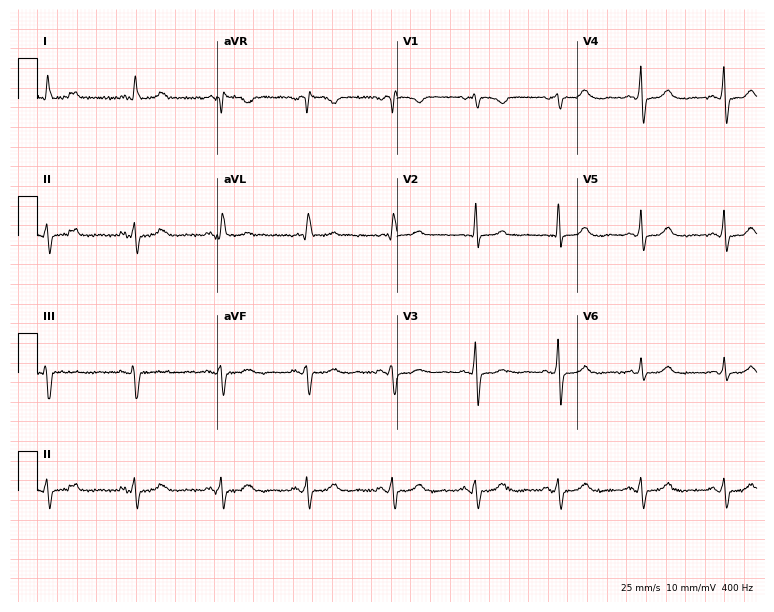
Standard 12-lead ECG recorded from a 57-year-old woman. None of these six findings is recorded: first-degree AV block, right bundle branch block, left bundle branch block, sinus bradycardia, atrial fibrillation, sinus tachycardia. Findings outside these six are not listed.